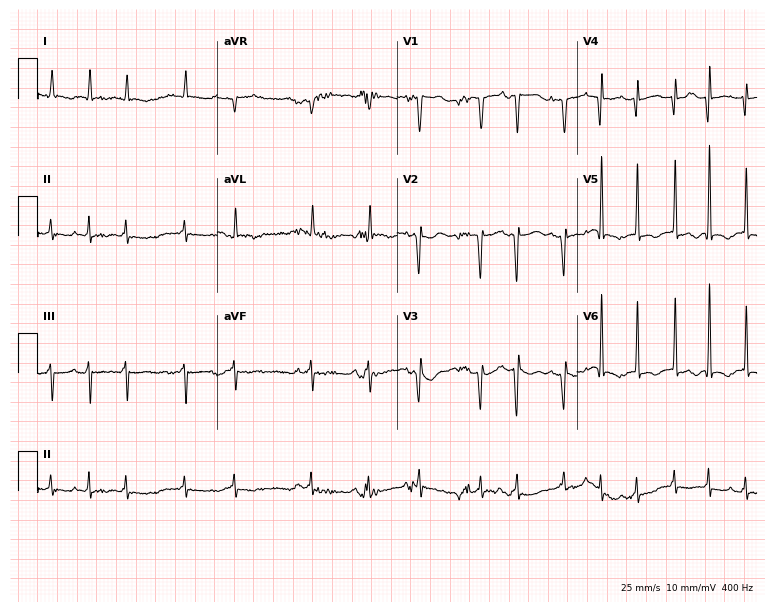
Standard 12-lead ECG recorded from a female patient, 84 years old (7.3-second recording at 400 Hz). The tracing shows atrial fibrillation (AF).